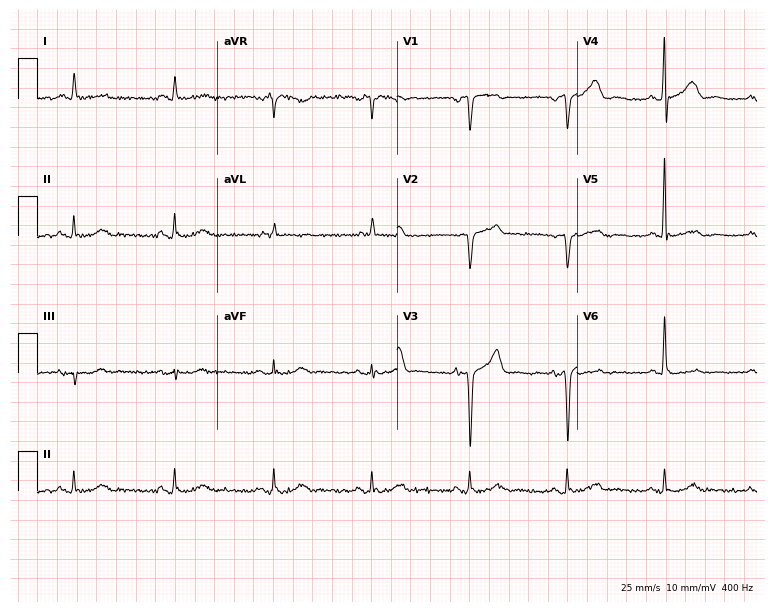
Electrocardiogram, a man, 61 years old. Of the six screened findings (first-degree AV block, right bundle branch block (RBBB), left bundle branch block (LBBB), sinus bradycardia, atrial fibrillation (AF), sinus tachycardia), none is recorded.